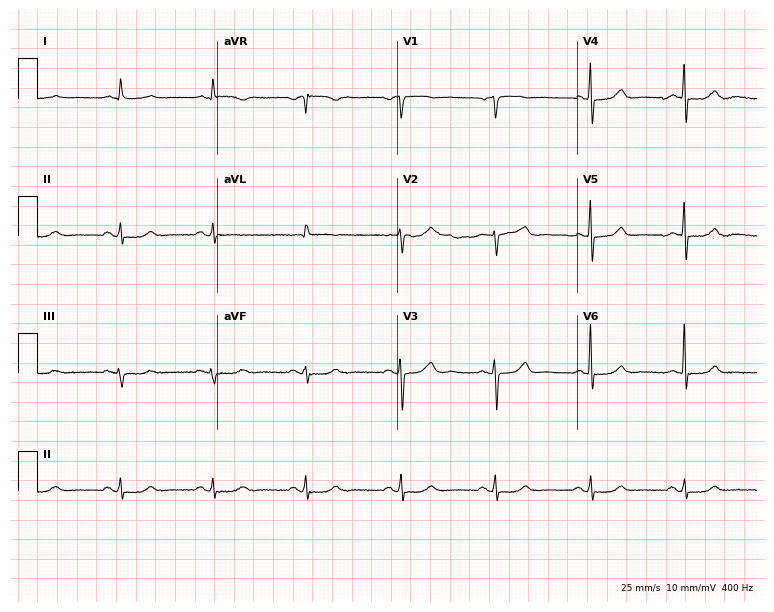
12-lead ECG from an 82-year-old male. Screened for six findings — first-degree AV block, right bundle branch block, left bundle branch block, sinus bradycardia, atrial fibrillation, sinus tachycardia — none is recorded.